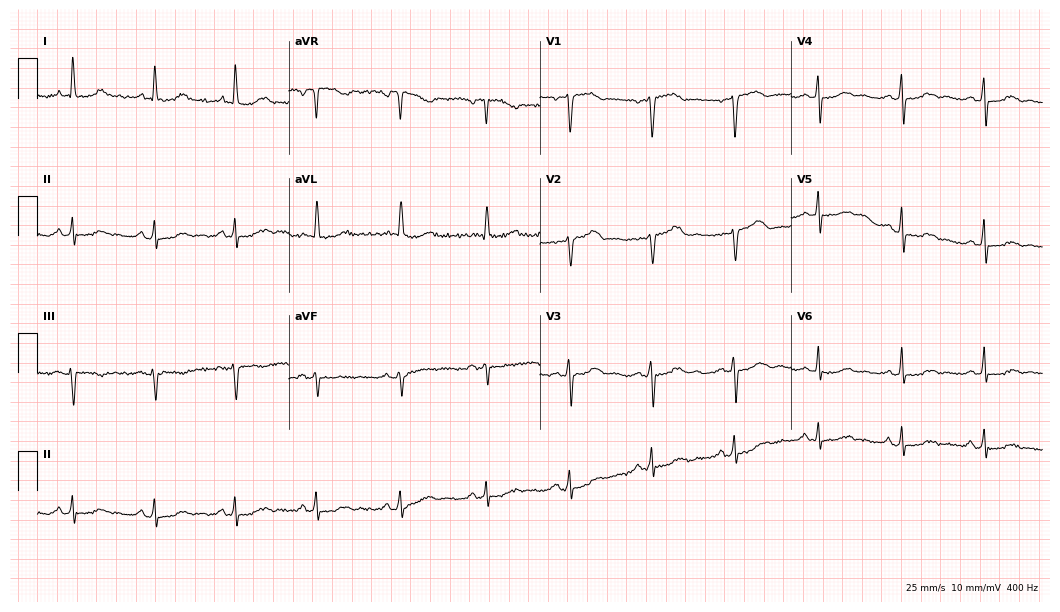
Electrocardiogram, a 69-year-old female. Overall reading on record: normal ECG.